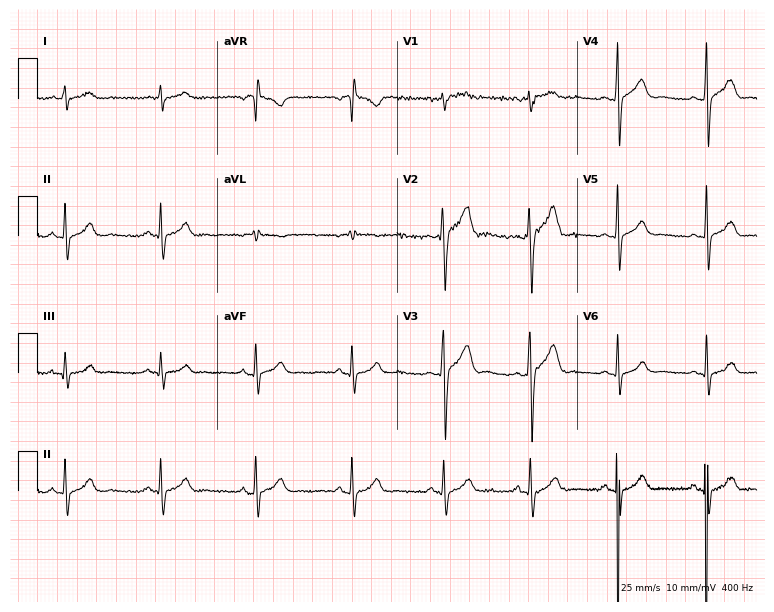
Standard 12-lead ECG recorded from a man, 35 years old (7.3-second recording at 400 Hz). Read as a normal ECG.